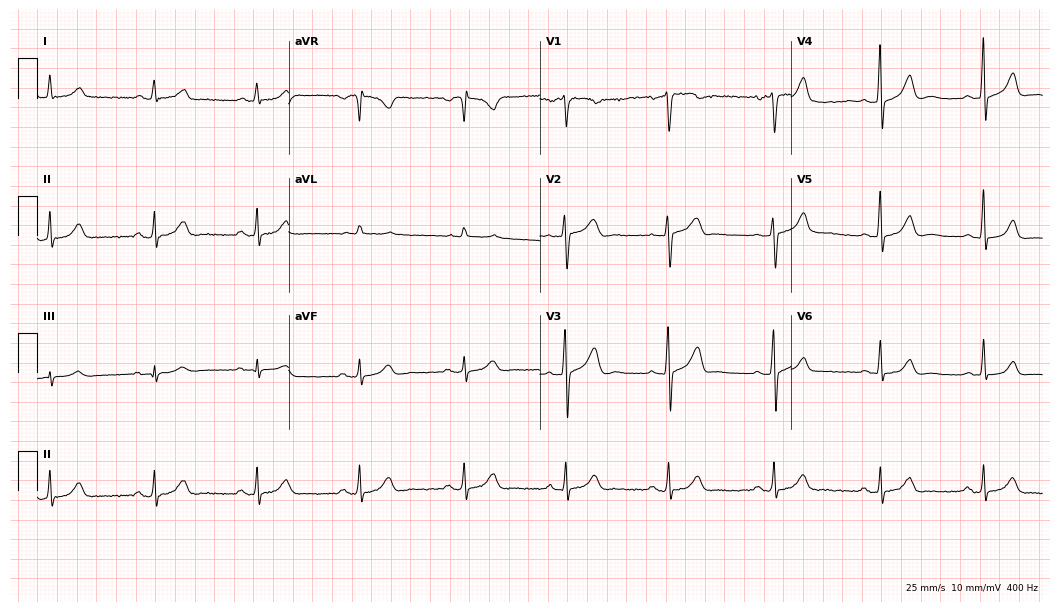
Resting 12-lead electrocardiogram. Patient: a 62-year-old man. Read as a normal ECG.